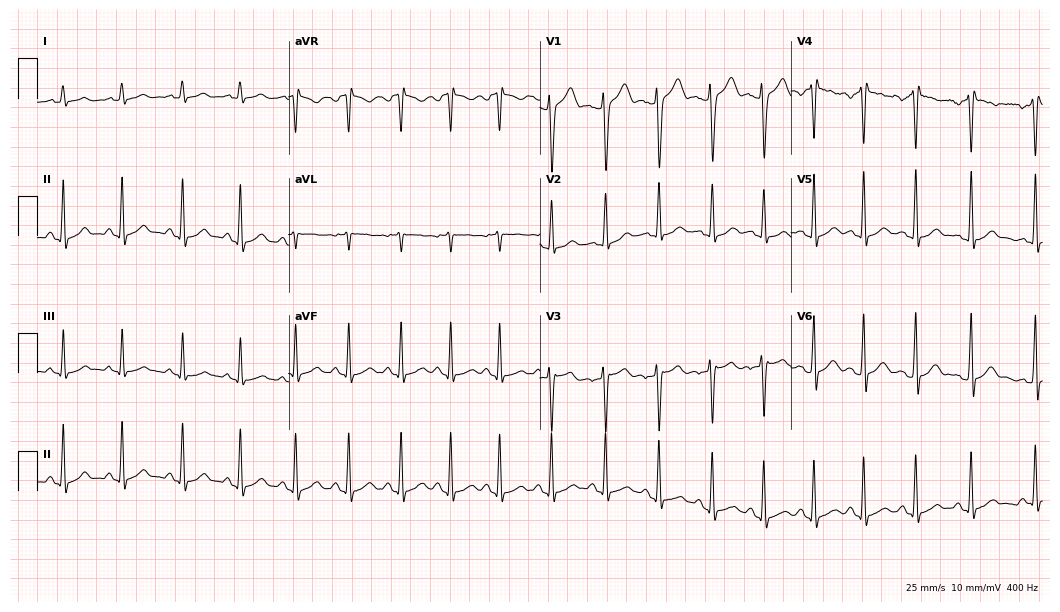
Electrocardiogram (10.2-second recording at 400 Hz), a male, 23 years old. Of the six screened findings (first-degree AV block, right bundle branch block, left bundle branch block, sinus bradycardia, atrial fibrillation, sinus tachycardia), none is recorded.